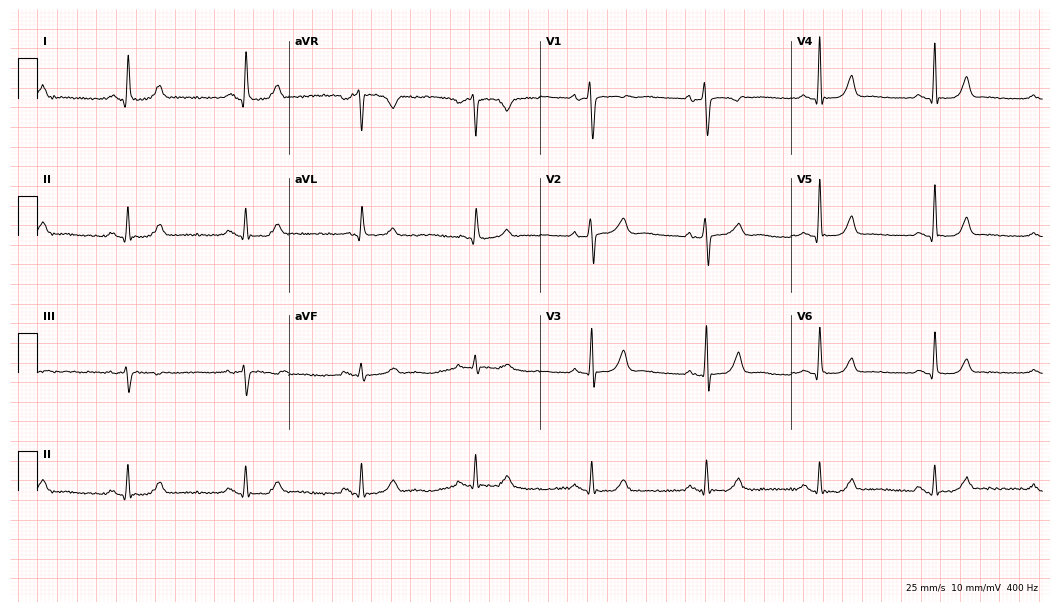
ECG (10.2-second recording at 400 Hz) — a 56-year-old woman. Labelled as a normal ECG.